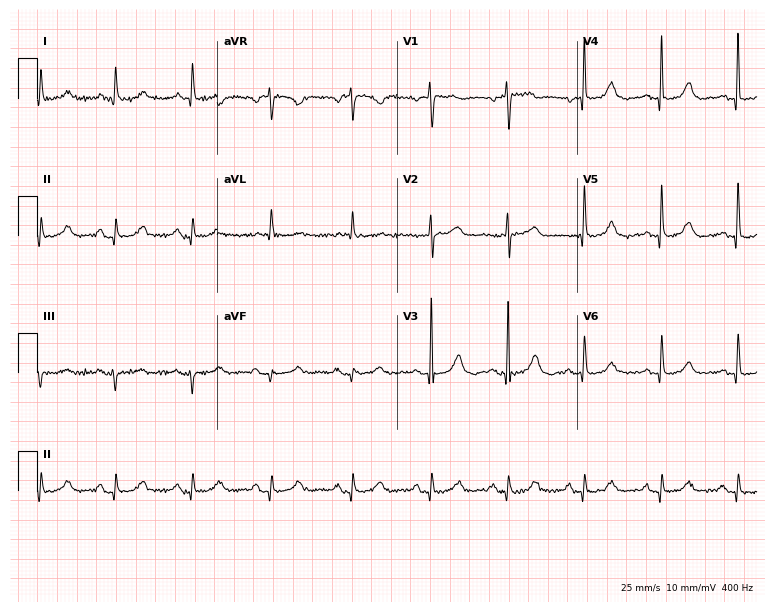
12-lead ECG (7.3-second recording at 400 Hz) from a 68-year-old female patient. Screened for six findings — first-degree AV block, right bundle branch block (RBBB), left bundle branch block (LBBB), sinus bradycardia, atrial fibrillation (AF), sinus tachycardia — none is recorded.